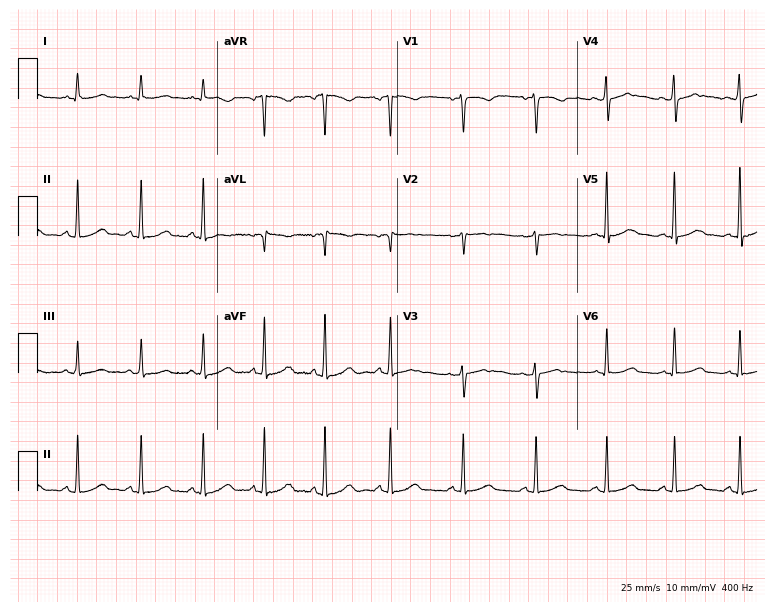
12-lead ECG from a female patient, 43 years old. Recorded interpretation: within normal limits.